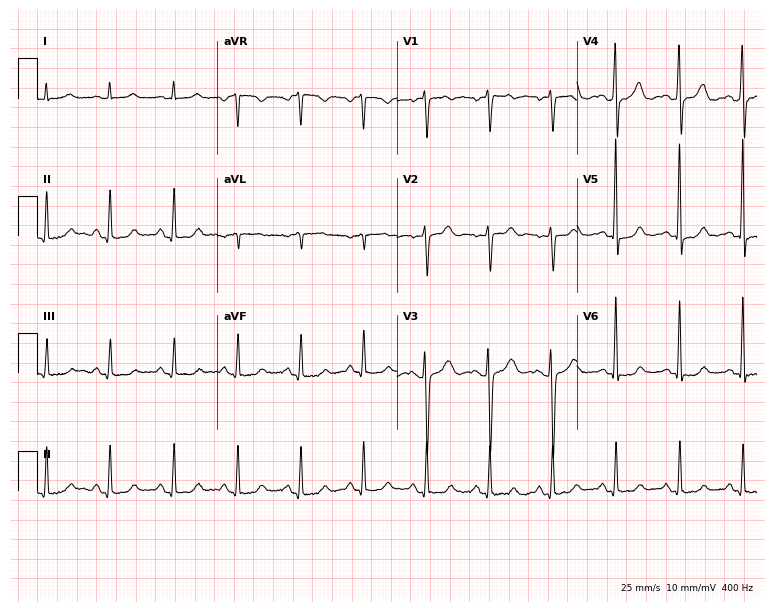
12-lead ECG from a female, 52 years old (7.3-second recording at 400 Hz). No first-degree AV block, right bundle branch block, left bundle branch block, sinus bradycardia, atrial fibrillation or sinus tachycardia recorded for this tracing.